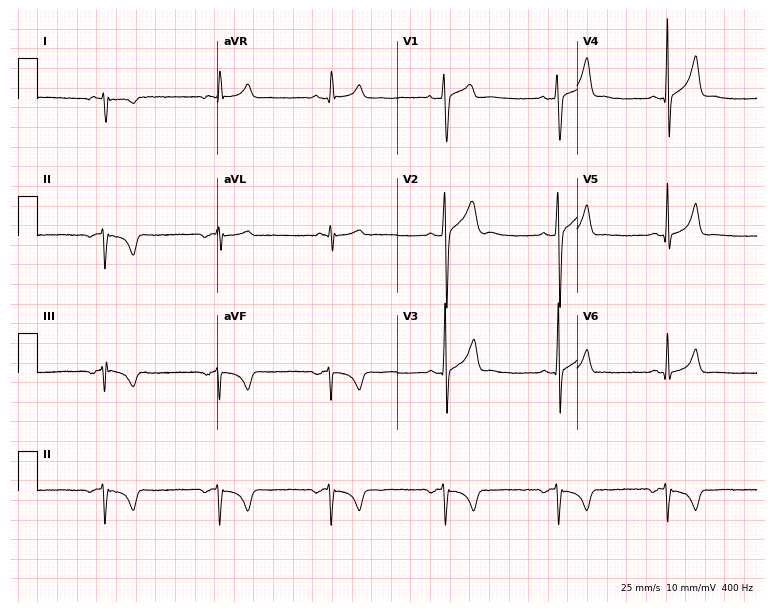
12-lead ECG from a man, 29 years old. No first-degree AV block, right bundle branch block (RBBB), left bundle branch block (LBBB), sinus bradycardia, atrial fibrillation (AF) or sinus tachycardia recorded for this tracing. Other findings, if any, are not listed.